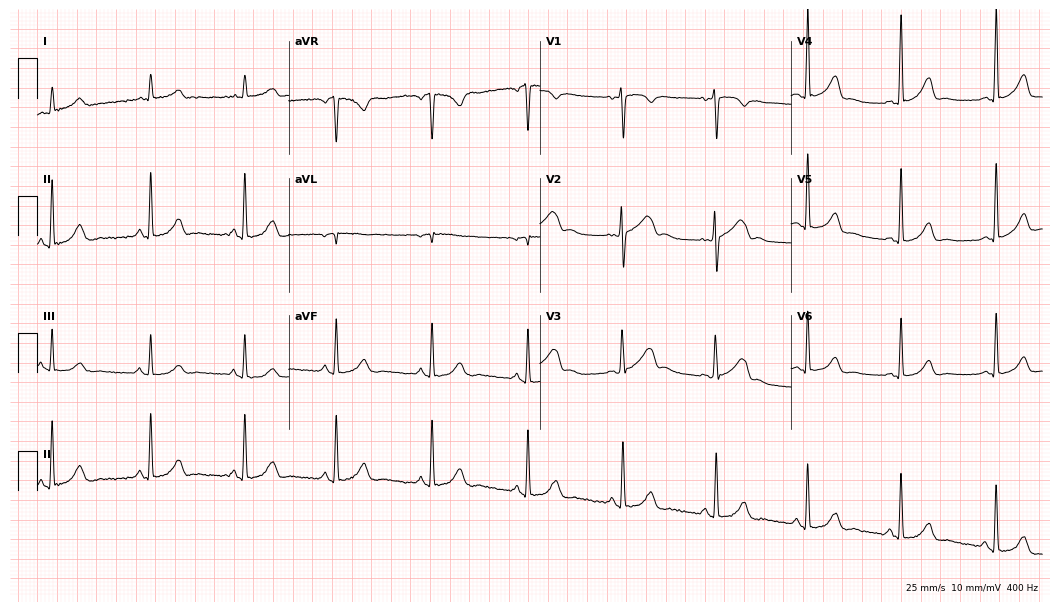
Resting 12-lead electrocardiogram (10.2-second recording at 400 Hz). Patient: a 42-year-old female. Read as a normal ECG.